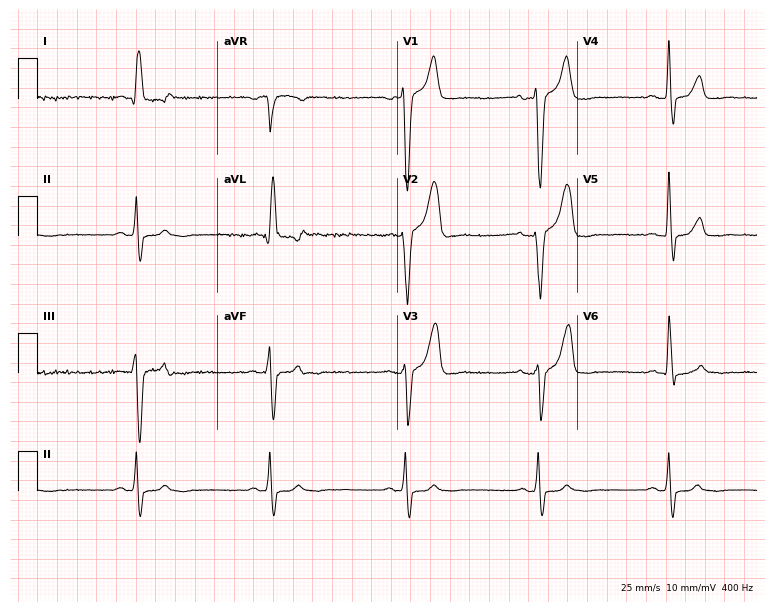
Resting 12-lead electrocardiogram (7.3-second recording at 400 Hz). Patient: a male, 82 years old. The tracing shows sinus bradycardia (a sinus rate of 50 beats per minute or less).